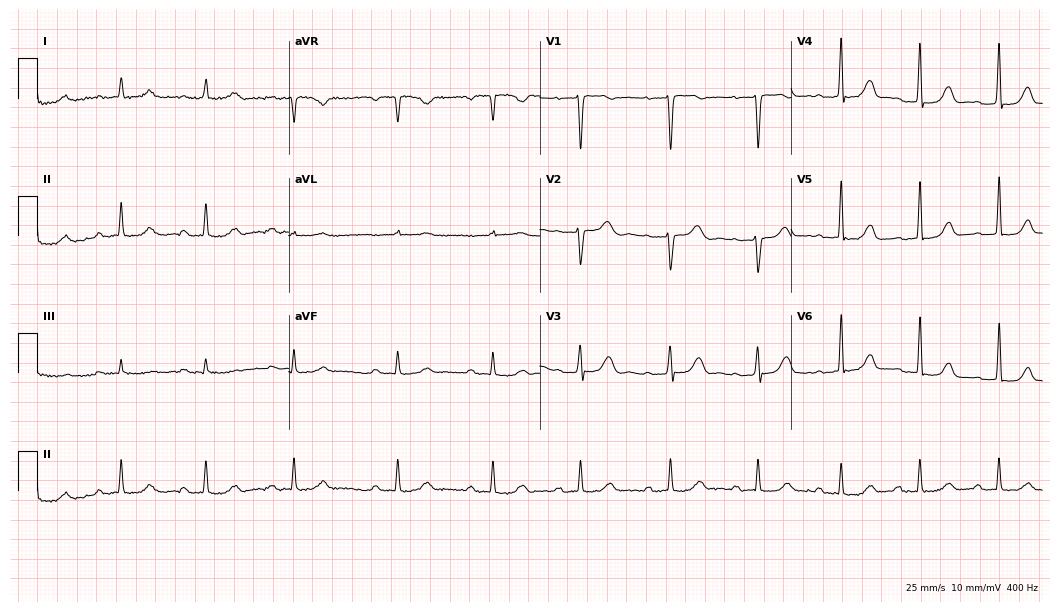
Resting 12-lead electrocardiogram. Patient: a woman, 47 years old. The tracing shows first-degree AV block.